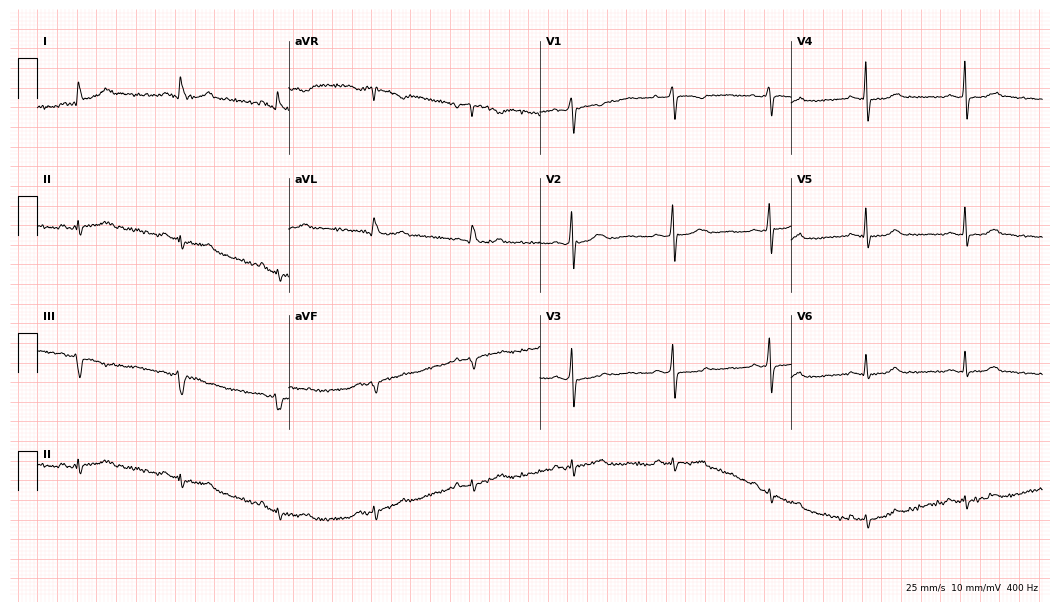
Resting 12-lead electrocardiogram (10.2-second recording at 400 Hz). Patient: a 70-year-old male. None of these six findings is recorded: first-degree AV block, right bundle branch block, left bundle branch block, sinus bradycardia, atrial fibrillation, sinus tachycardia. Only these six findings were labelled.